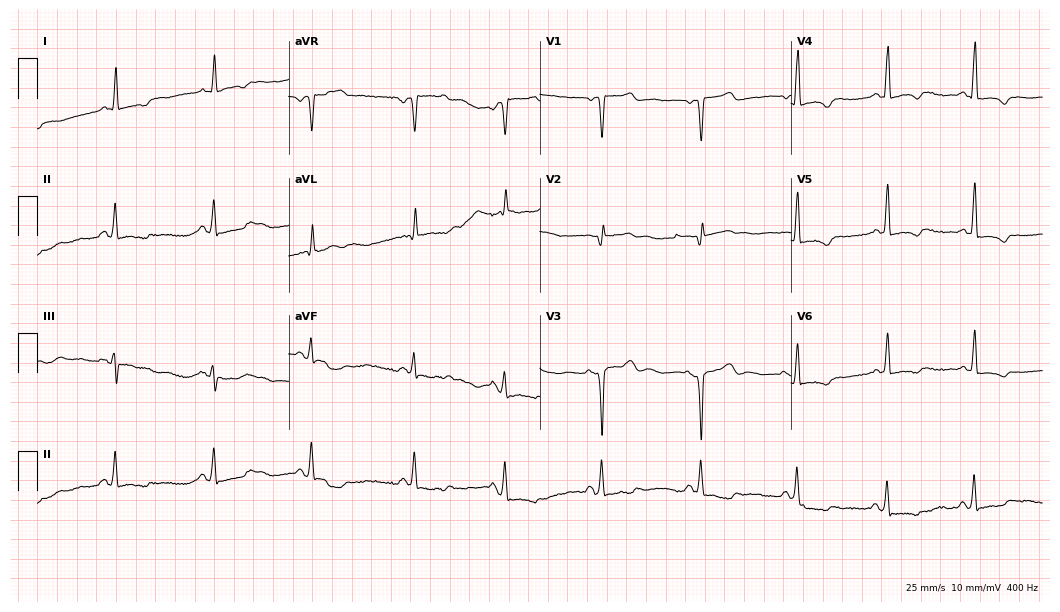
12-lead ECG from a 54-year-old female patient (10.2-second recording at 400 Hz). No first-degree AV block, right bundle branch block, left bundle branch block, sinus bradycardia, atrial fibrillation or sinus tachycardia recorded for this tracing. Only these six findings were labelled.